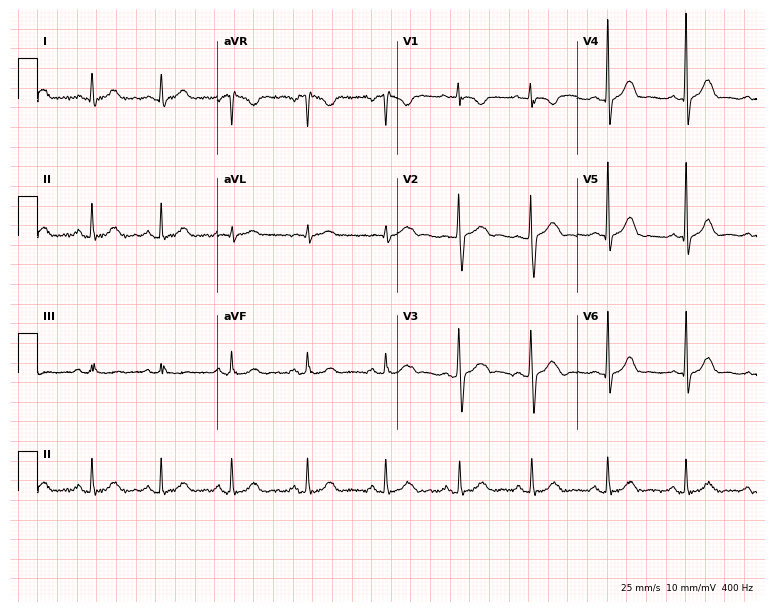
12-lead ECG from a 29-year-old female patient. Recorded interpretation: within normal limits.